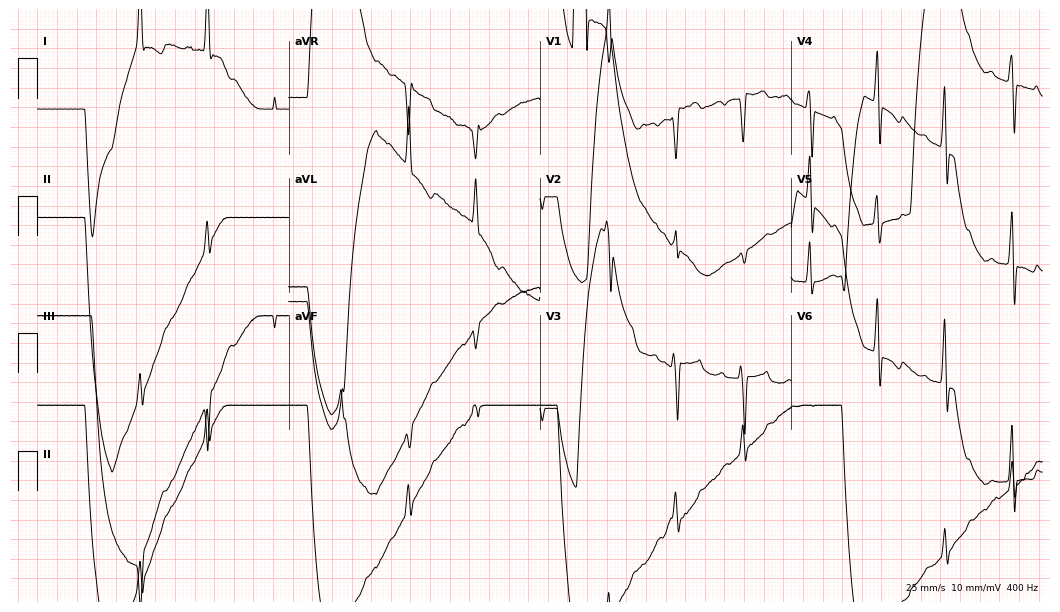
Electrocardiogram (10.2-second recording at 400 Hz), a male patient, 58 years old. Of the six screened findings (first-degree AV block, right bundle branch block, left bundle branch block, sinus bradycardia, atrial fibrillation, sinus tachycardia), none is recorded.